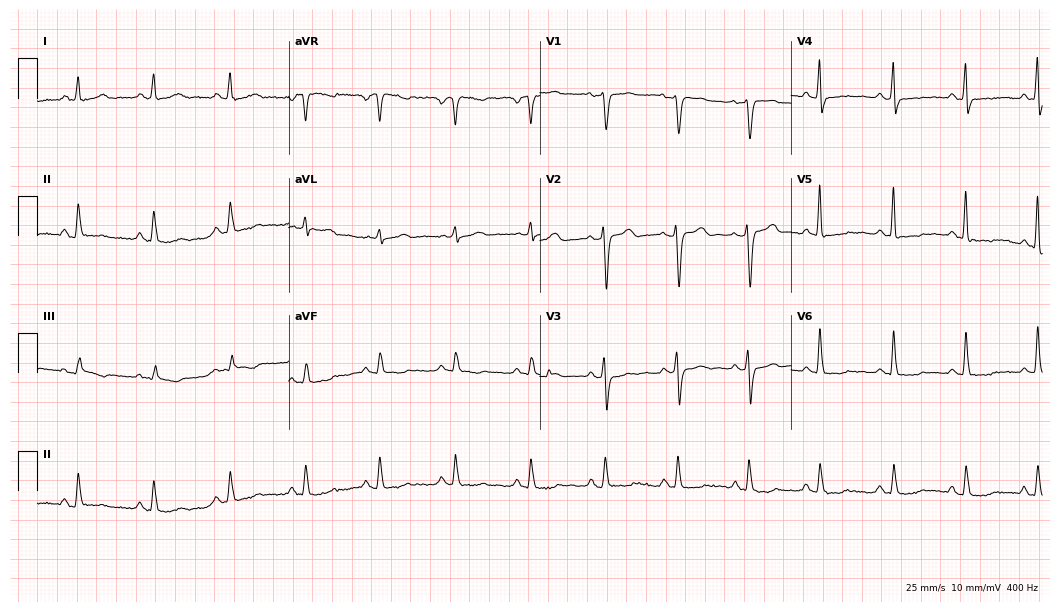
12-lead ECG from a female patient, 56 years old. Screened for six findings — first-degree AV block, right bundle branch block, left bundle branch block, sinus bradycardia, atrial fibrillation, sinus tachycardia — none is recorded. Other findings, if any, are not listed.